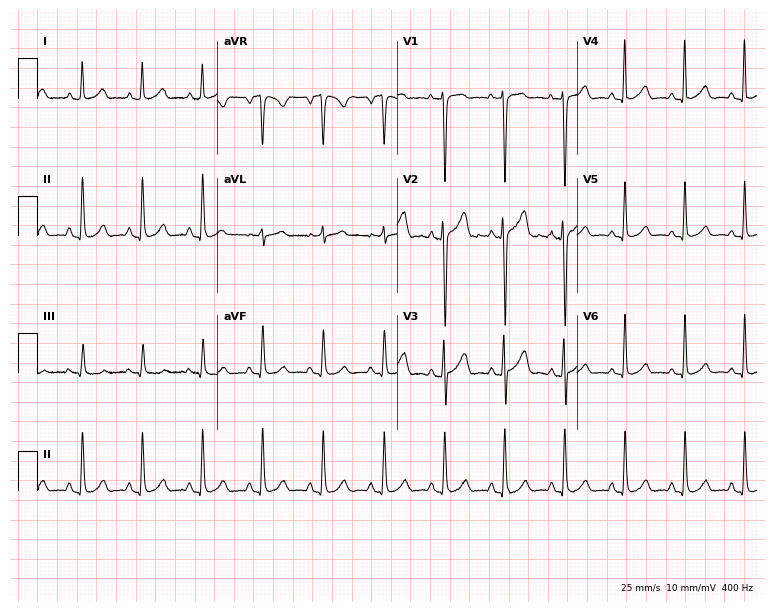
Electrocardiogram, a 31-year-old female patient. Overall reading on record: normal ECG.